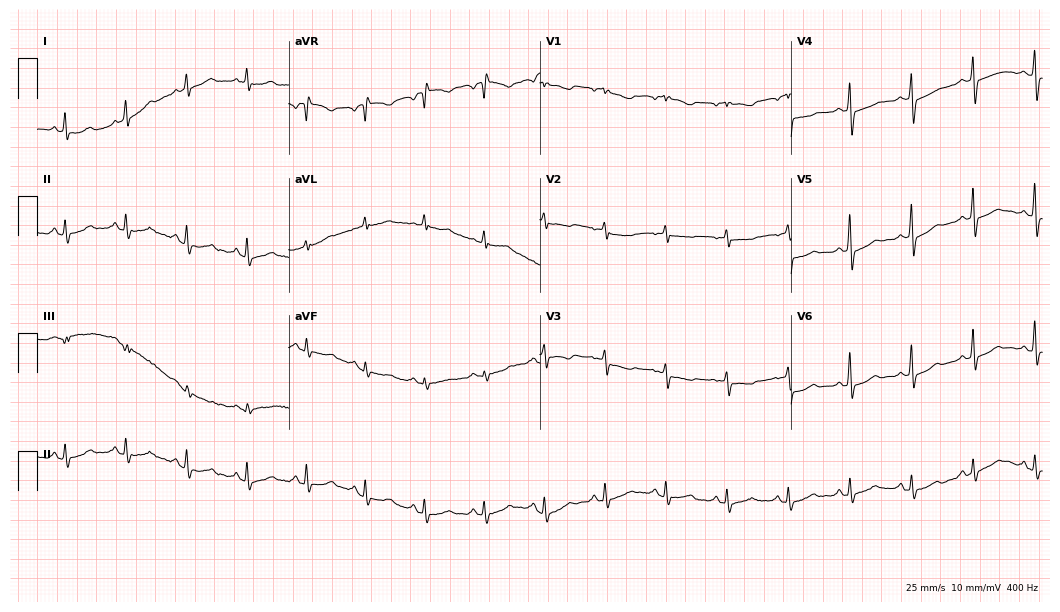
ECG — a woman, 67 years old. Screened for six findings — first-degree AV block, right bundle branch block, left bundle branch block, sinus bradycardia, atrial fibrillation, sinus tachycardia — none is recorded.